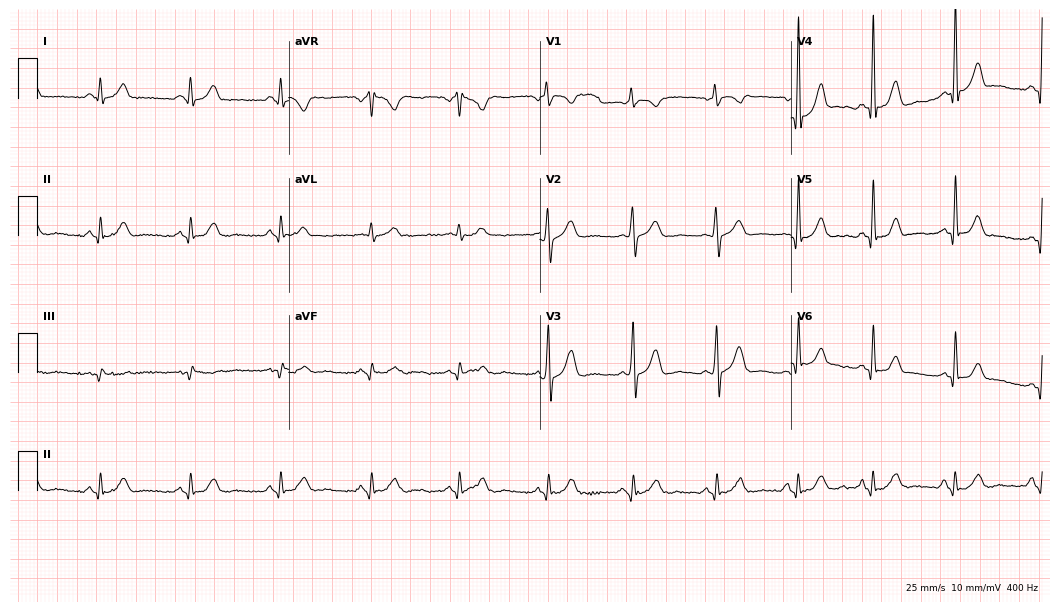
12-lead ECG from a male patient, 46 years old (10.2-second recording at 400 Hz). No first-degree AV block, right bundle branch block, left bundle branch block, sinus bradycardia, atrial fibrillation or sinus tachycardia recorded for this tracing.